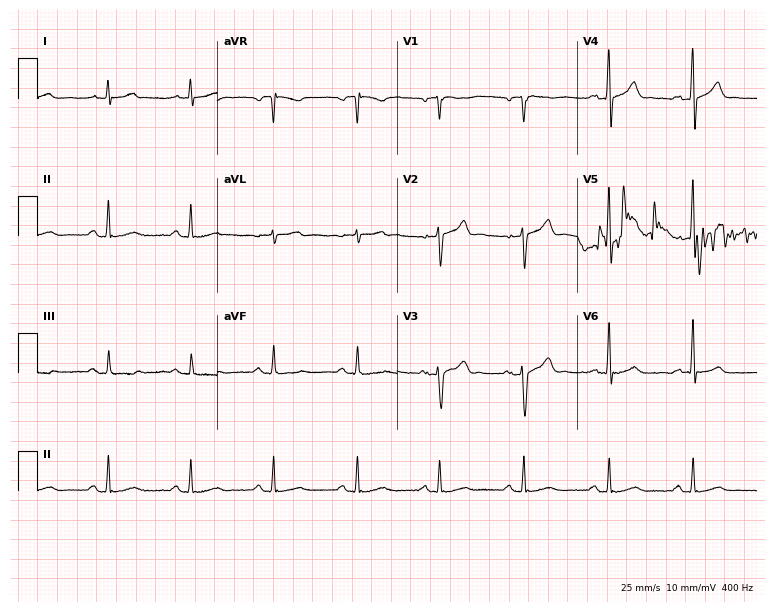
12-lead ECG from a male, 59 years old. Recorded interpretation: within normal limits.